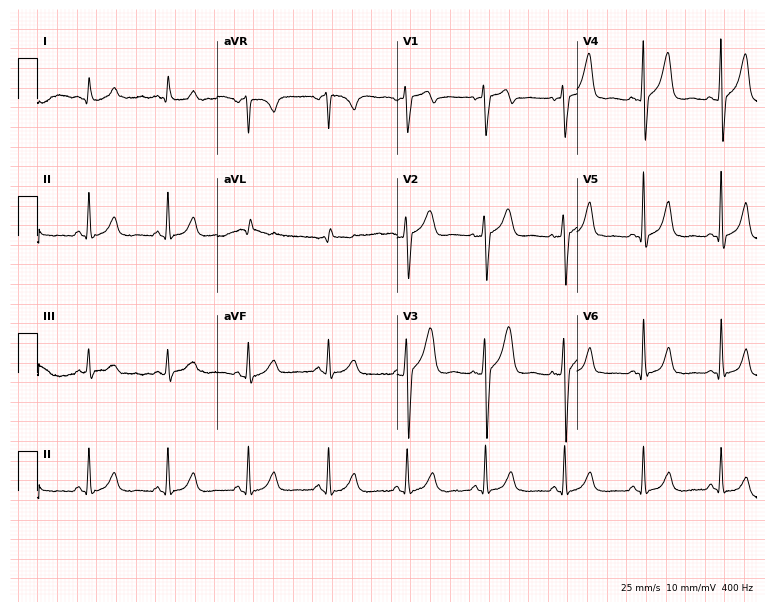
12-lead ECG (7.3-second recording at 400 Hz) from a 52-year-old male. Screened for six findings — first-degree AV block, right bundle branch block, left bundle branch block, sinus bradycardia, atrial fibrillation, sinus tachycardia — none is recorded. Only these six findings were labelled.